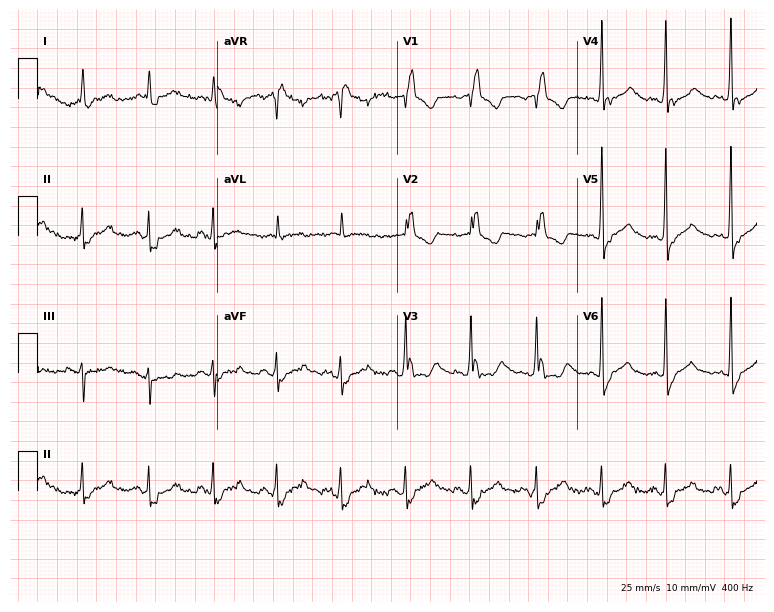
Electrocardiogram (7.3-second recording at 400 Hz), a 63-year-old female patient. Interpretation includes right bundle branch block (RBBB).